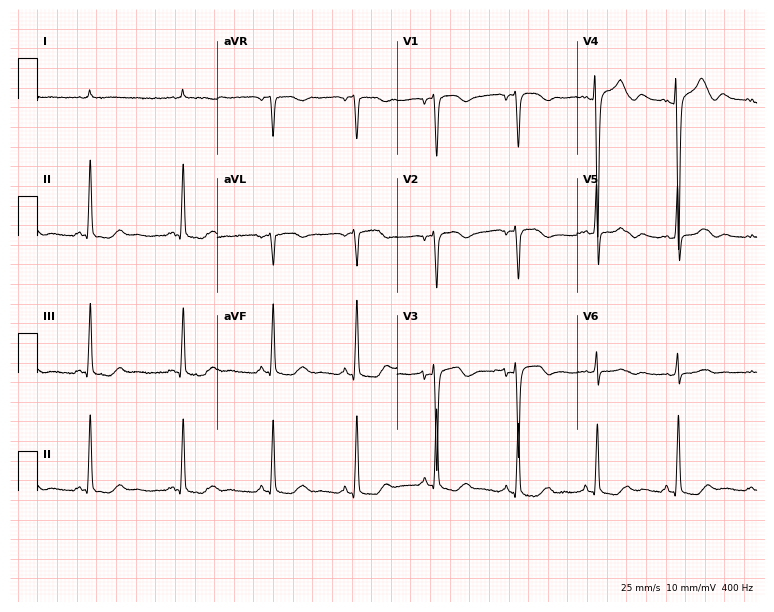
Standard 12-lead ECG recorded from a 66-year-old male patient (7.3-second recording at 400 Hz). Read as a normal ECG.